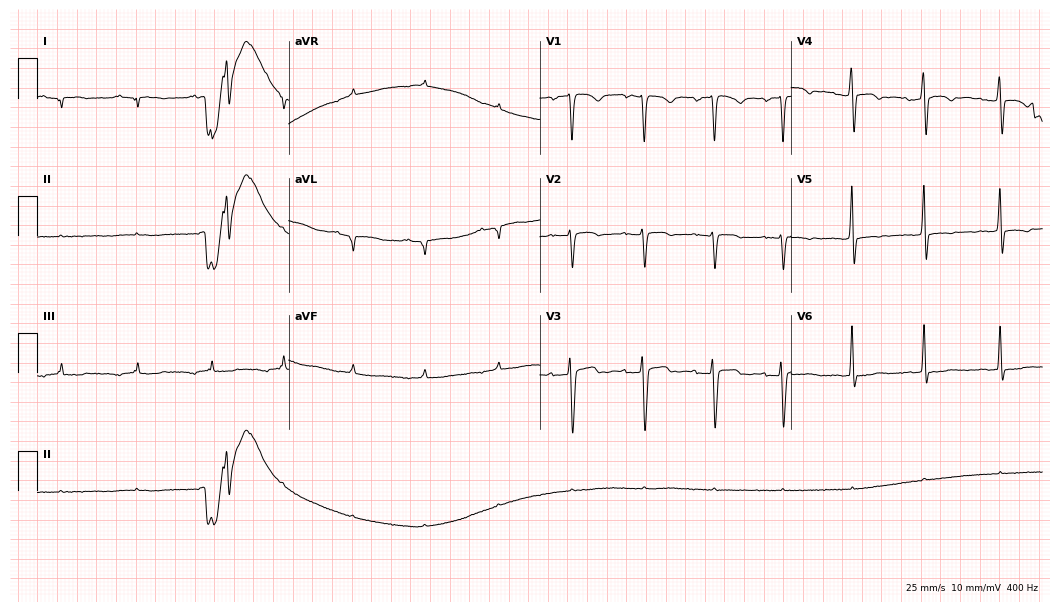
12-lead ECG (10.2-second recording at 400 Hz) from a woman, 37 years old. Screened for six findings — first-degree AV block, right bundle branch block, left bundle branch block, sinus bradycardia, atrial fibrillation, sinus tachycardia — none is recorded.